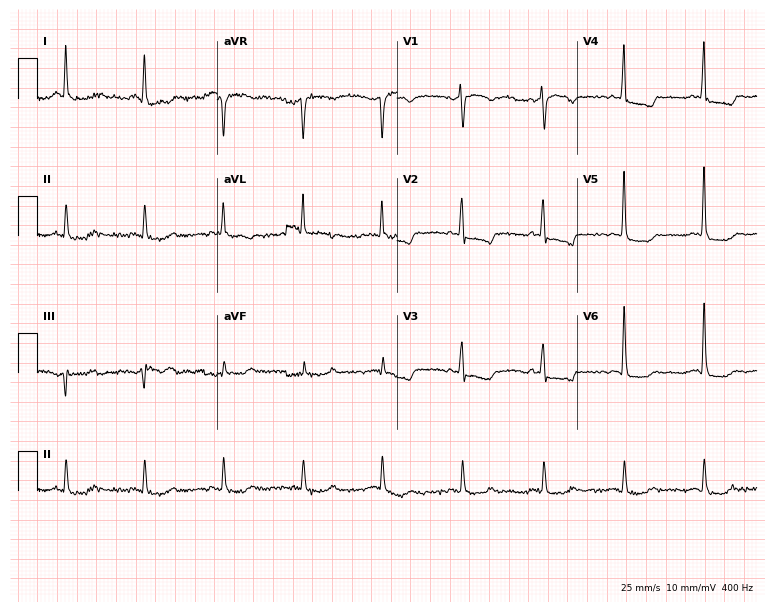
Electrocardiogram (7.3-second recording at 400 Hz), an 82-year-old woman. Of the six screened findings (first-degree AV block, right bundle branch block, left bundle branch block, sinus bradycardia, atrial fibrillation, sinus tachycardia), none is recorded.